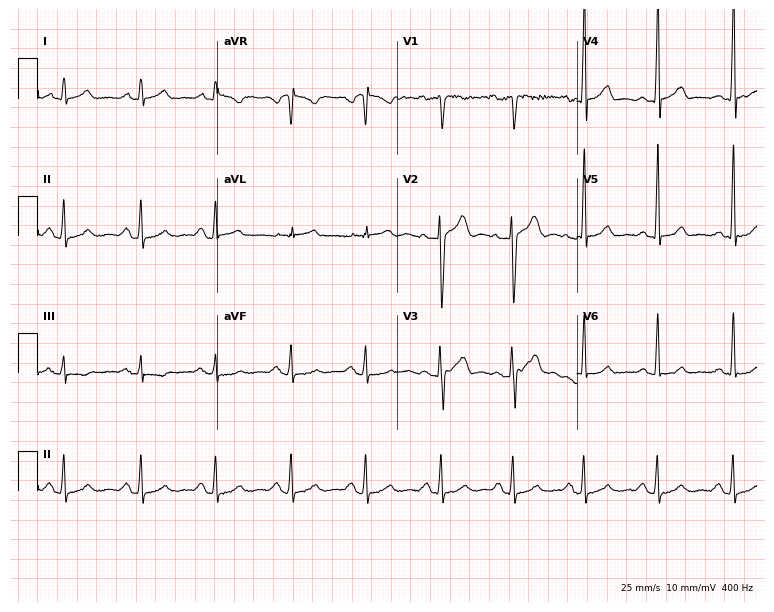
Standard 12-lead ECG recorded from a man, 44 years old (7.3-second recording at 400 Hz). None of these six findings is recorded: first-degree AV block, right bundle branch block, left bundle branch block, sinus bradycardia, atrial fibrillation, sinus tachycardia. Only these six findings were labelled.